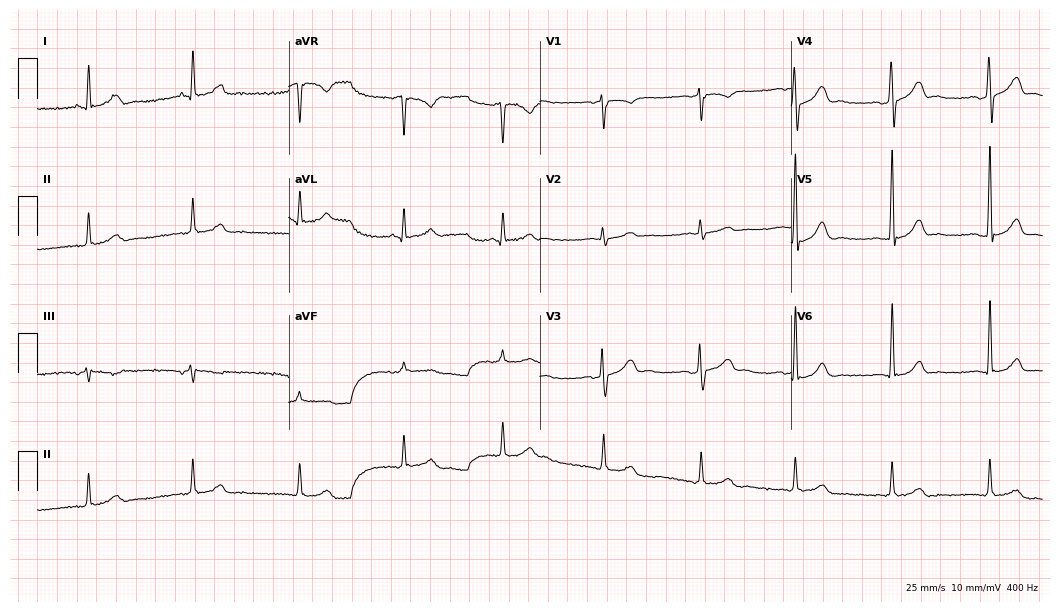
ECG (10.2-second recording at 400 Hz) — a 65-year-old male. Labelled as a normal ECG.